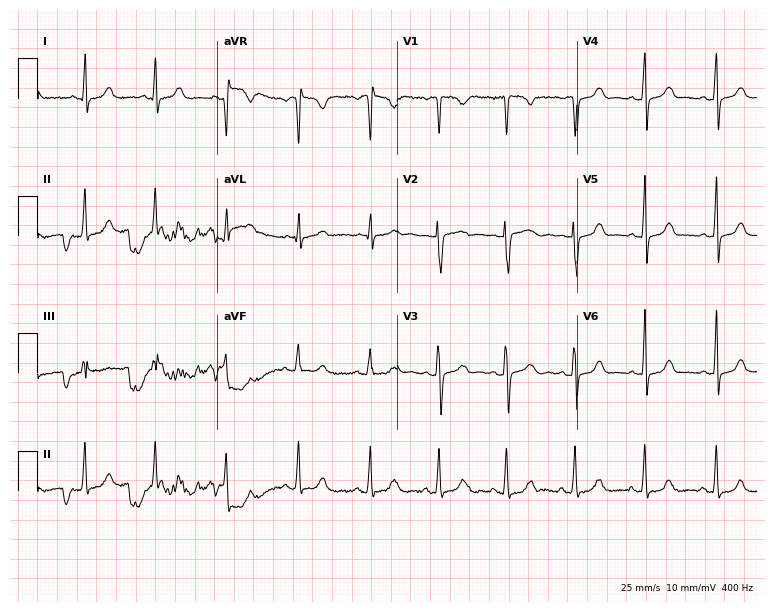
Standard 12-lead ECG recorded from a 30-year-old female. Read as a normal ECG.